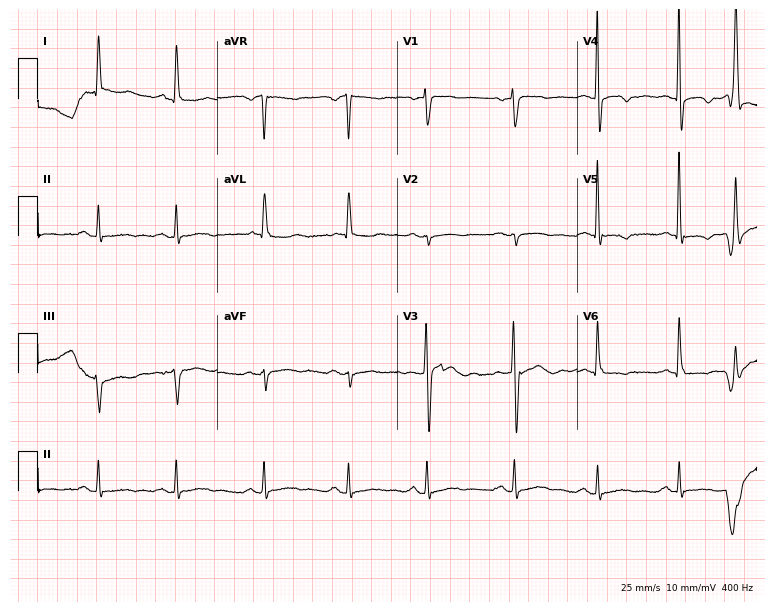
Standard 12-lead ECG recorded from a woman, 67 years old. None of these six findings is recorded: first-degree AV block, right bundle branch block, left bundle branch block, sinus bradycardia, atrial fibrillation, sinus tachycardia.